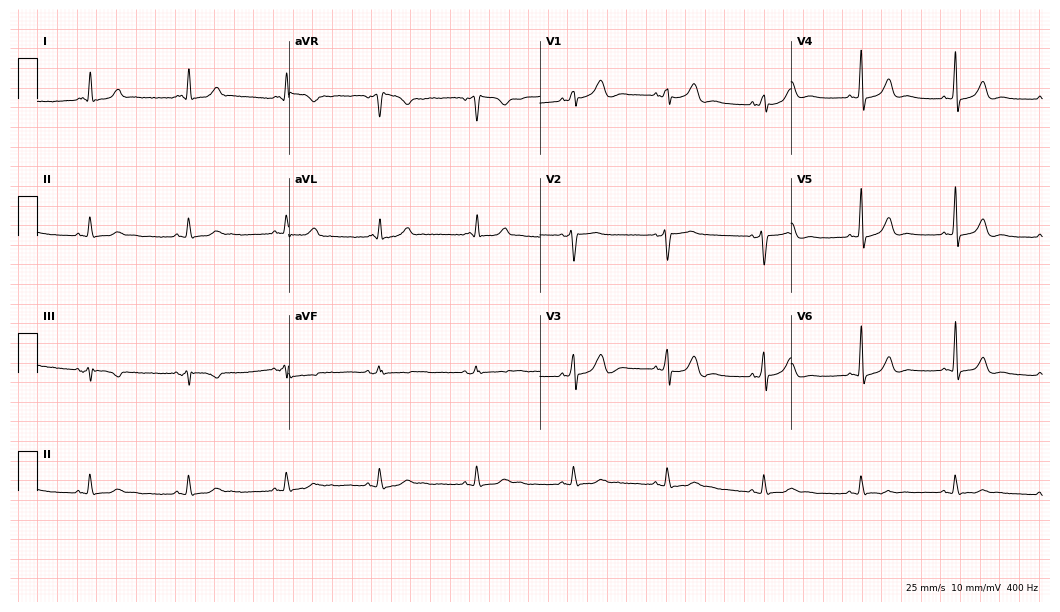
12-lead ECG (10.2-second recording at 400 Hz) from a 71-year-old man. Labelled as a normal ECG.